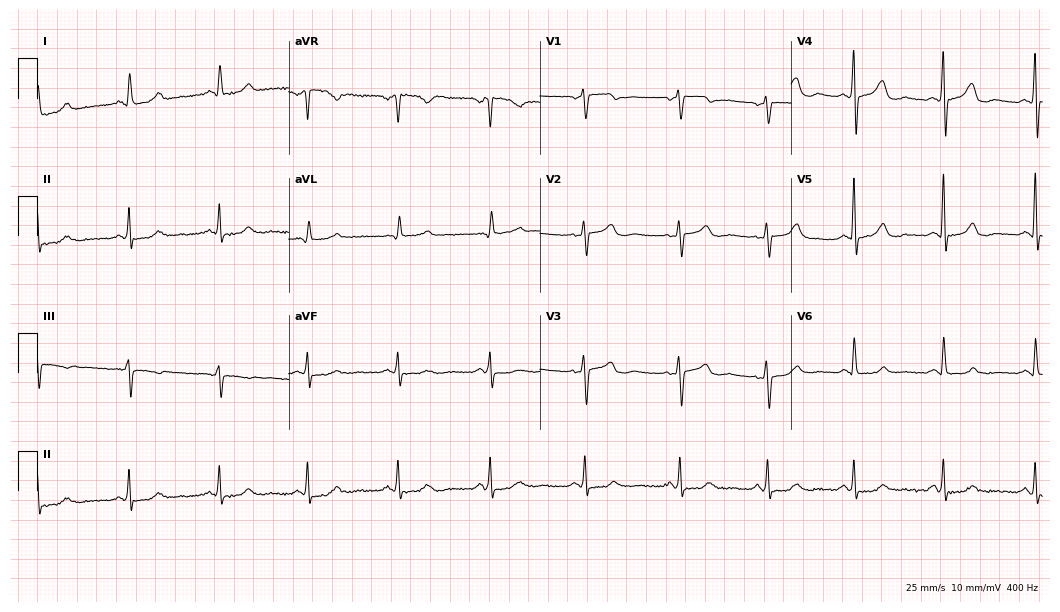
Standard 12-lead ECG recorded from a 51-year-old woman (10.2-second recording at 400 Hz). Read as a normal ECG.